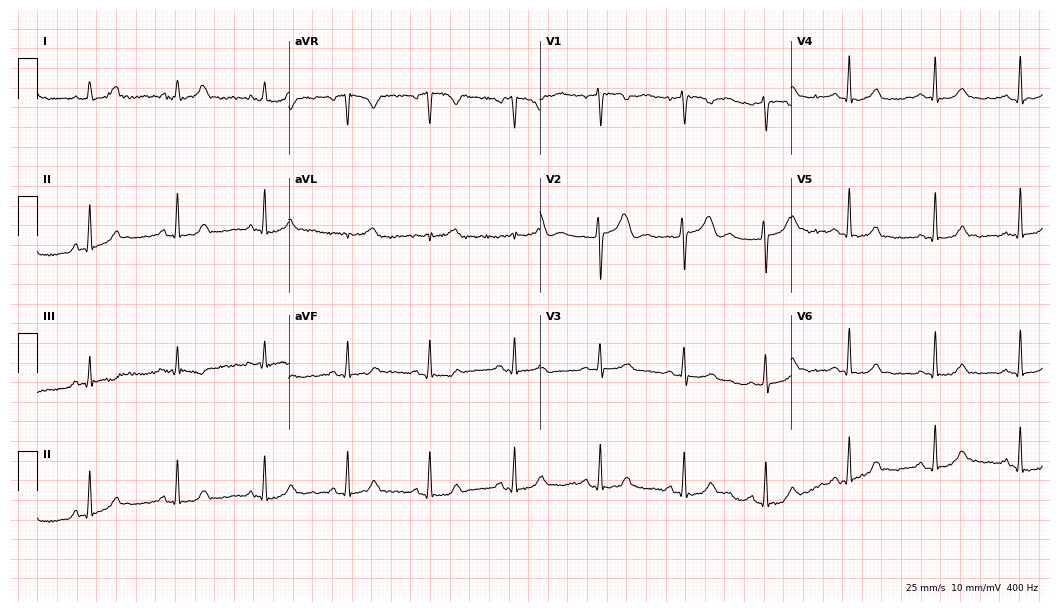
Resting 12-lead electrocardiogram. Patient: a 25-year-old woman. Read as a normal ECG.